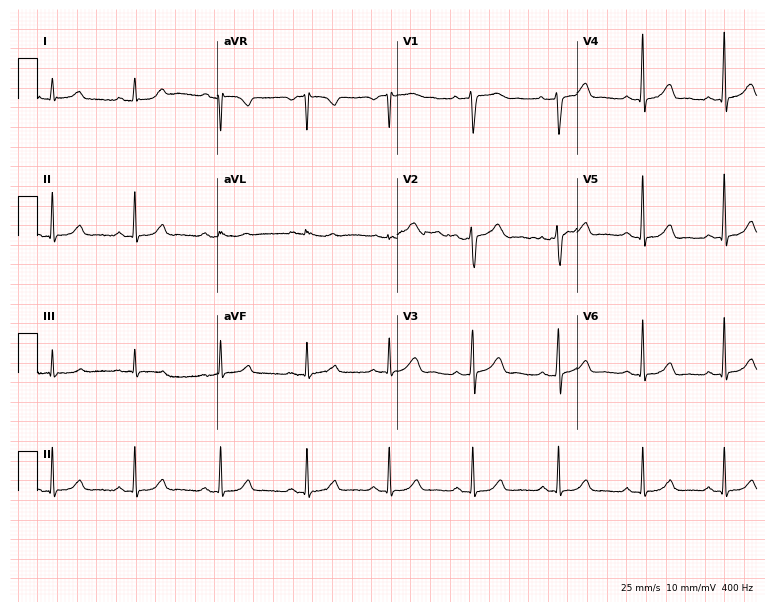
Resting 12-lead electrocardiogram (7.3-second recording at 400 Hz). Patient: a woman, 40 years old. Read as a normal ECG.